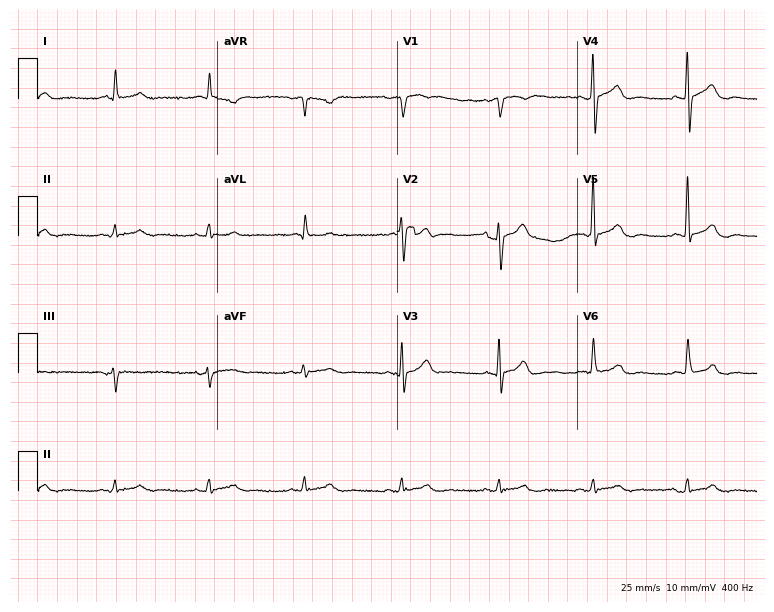
Standard 12-lead ECG recorded from a male, 78 years old. Read as a normal ECG.